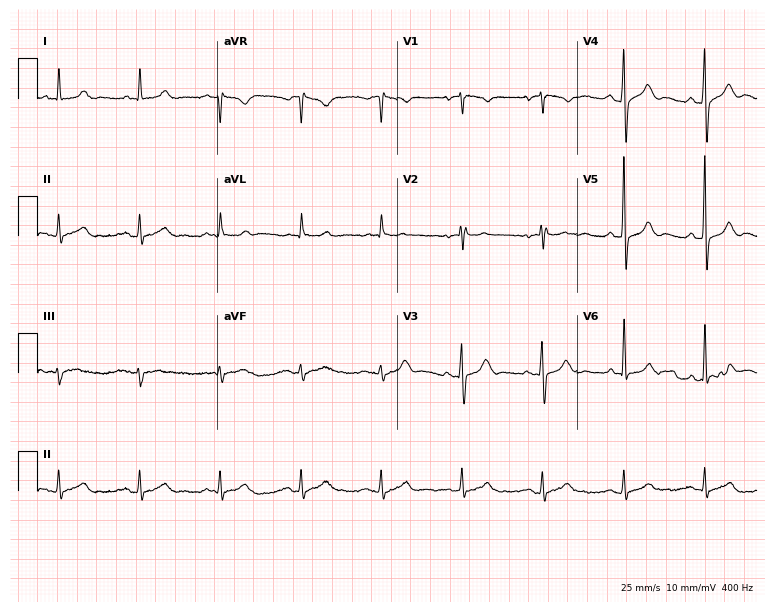
Standard 12-lead ECG recorded from an 82-year-old female (7.3-second recording at 400 Hz). None of these six findings is recorded: first-degree AV block, right bundle branch block (RBBB), left bundle branch block (LBBB), sinus bradycardia, atrial fibrillation (AF), sinus tachycardia. Only these six findings were labelled.